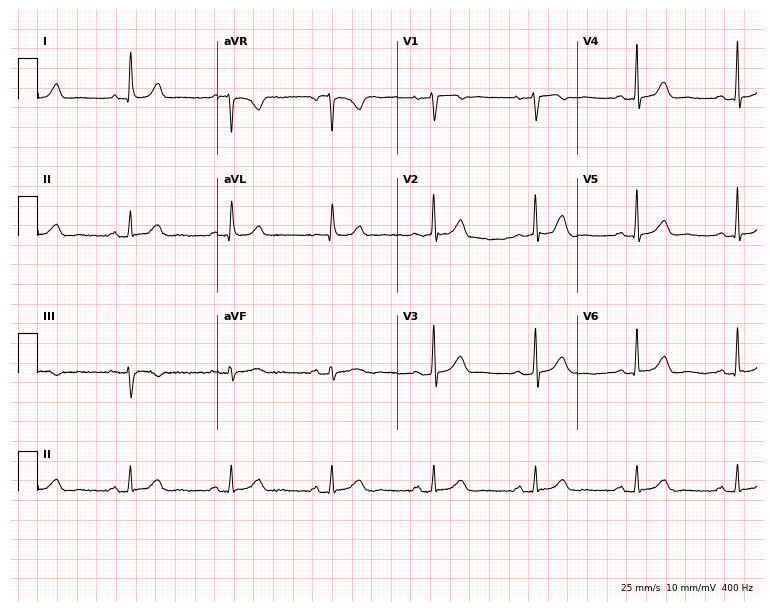
12-lead ECG from a 73-year-old female. Labelled as a normal ECG.